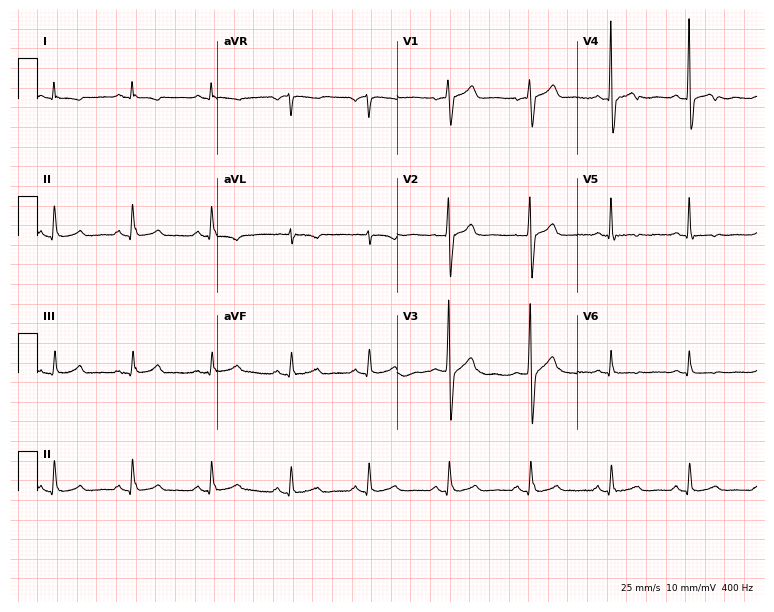
12-lead ECG from a 54-year-old man. No first-degree AV block, right bundle branch block (RBBB), left bundle branch block (LBBB), sinus bradycardia, atrial fibrillation (AF) or sinus tachycardia recorded for this tracing. Only these six findings were labelled.